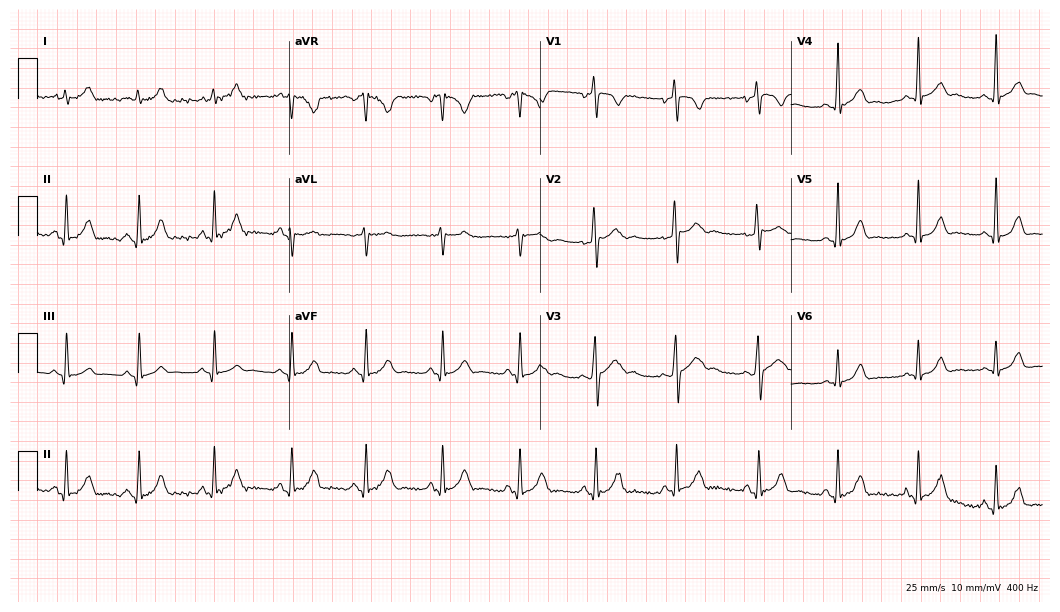
12-lead ECG (10.2-second recording at 400 Hz) from a 33-year-old male patient. Labelled as a normal ECG.